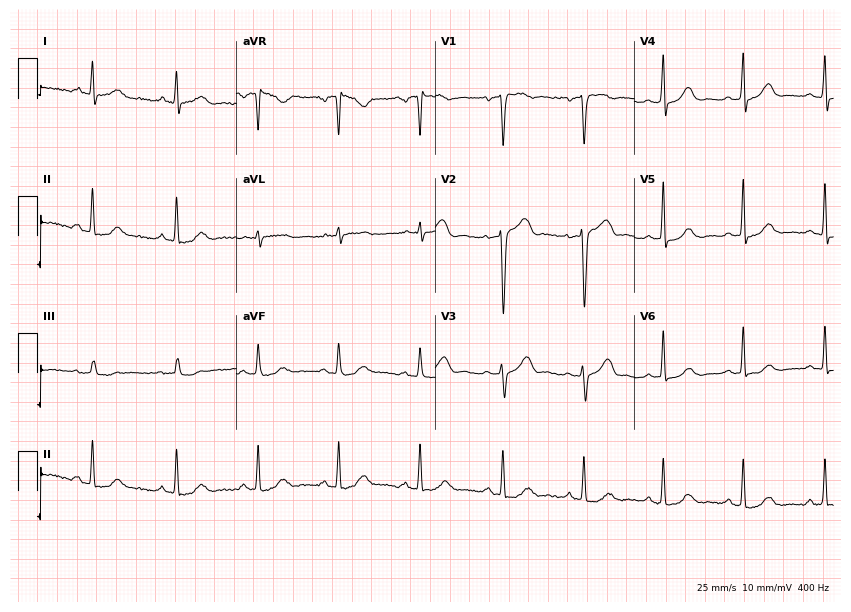
12-lead ECG (8.1-second recording at 400 Hz) from a female, 47 years old. Labelled as a normal ECG.